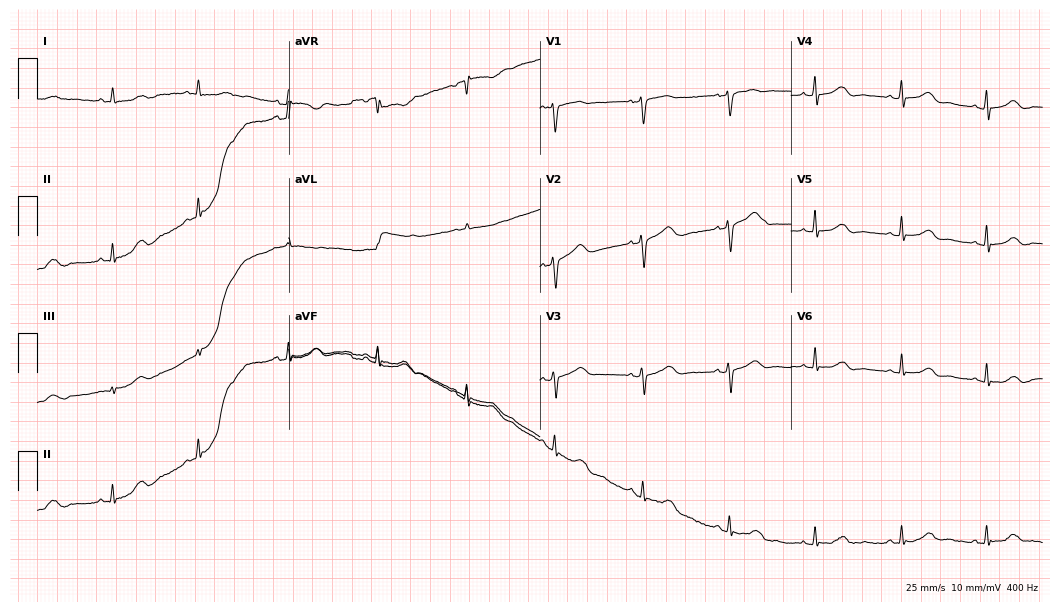
Electrocardiogram, a 58-year-old female patient. Of the six screened findings (first-degree AV block, right bundle branch block, left bundle branch block, sinus bradycardia, atrial fibrillation, sinus tachycardia), none is recorded. Only these six findings were labelled.